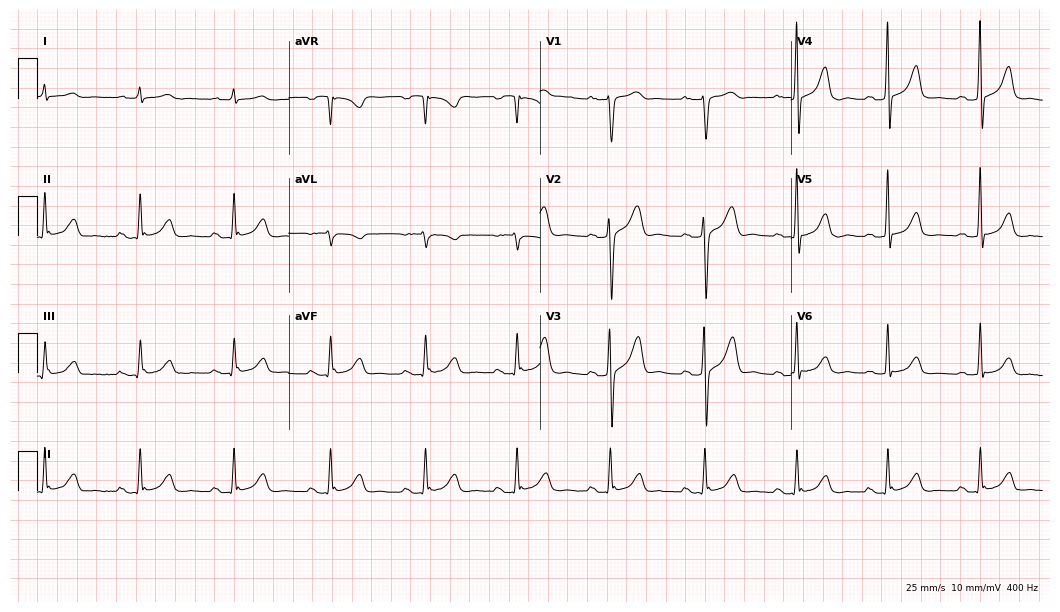
Resting 12-lead electrocardiogram (10.2-second recording at 400 Hz). Patient: a 77-year-old male. Read as a normal ECG.